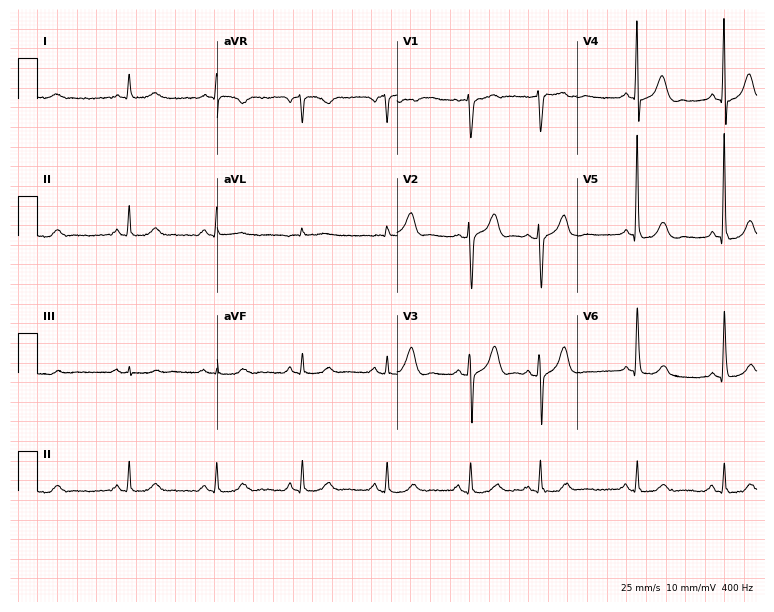
12-lead ECG from an 81-year-old man. No first-degree AV block, right bundle branch block, left bundle branch block, sinus bradycardia, atrial fibrillation or sinus tachycardia recorded for this tracing.